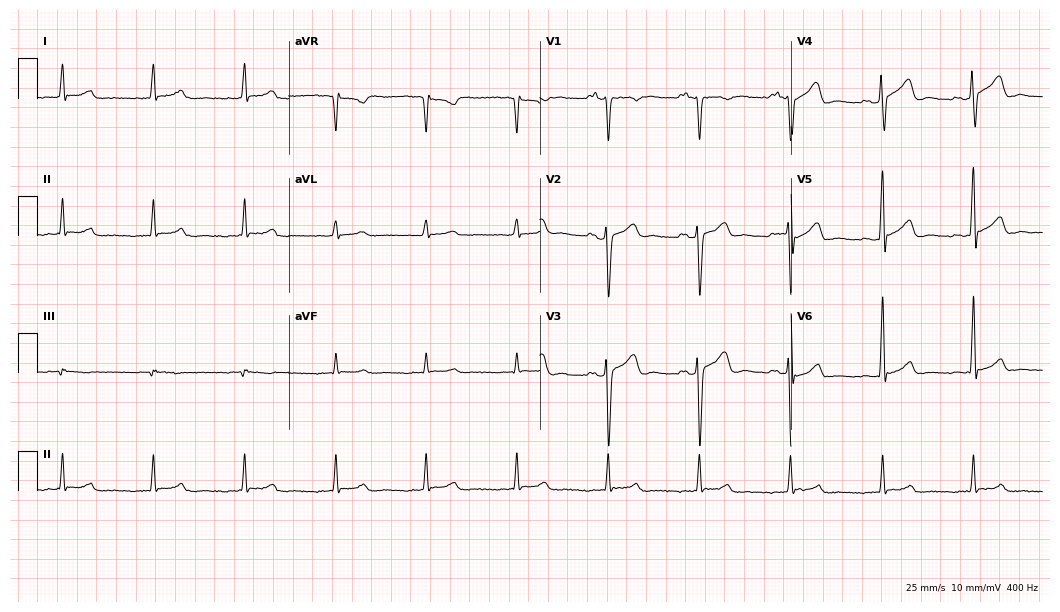
ECG — a man, 34 years old. Labelled as a normal ECG.